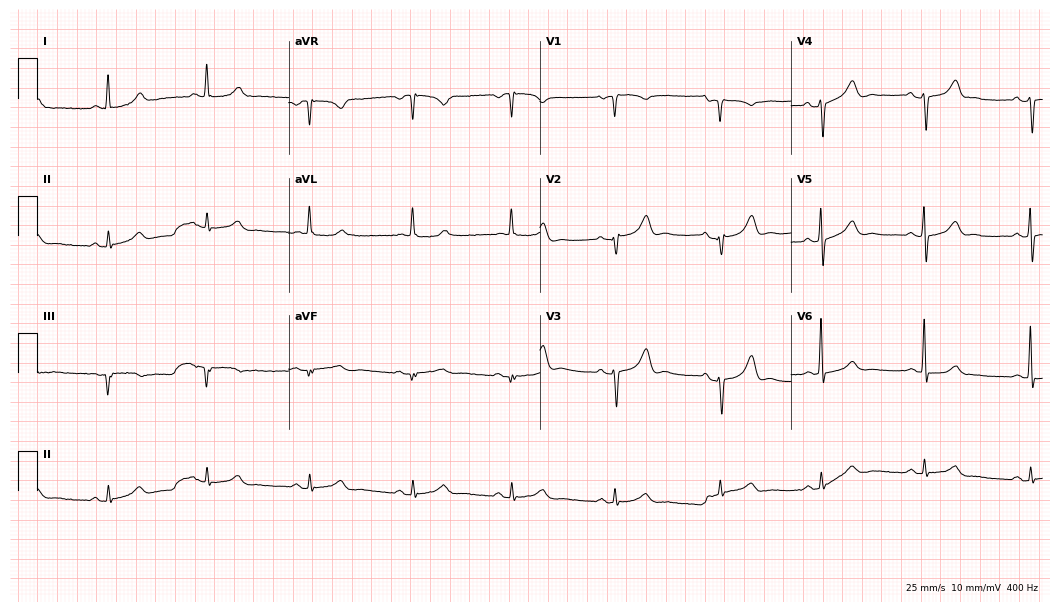
ECG (10.2-second recording at 400 Hz) — a 66-year-old man. Screened for six findings — first-degree AV block, right bundle branch block, left bundle branch block, sinus bradycardia, atrial fibrillation, sinus tachycardia — none is recorded.